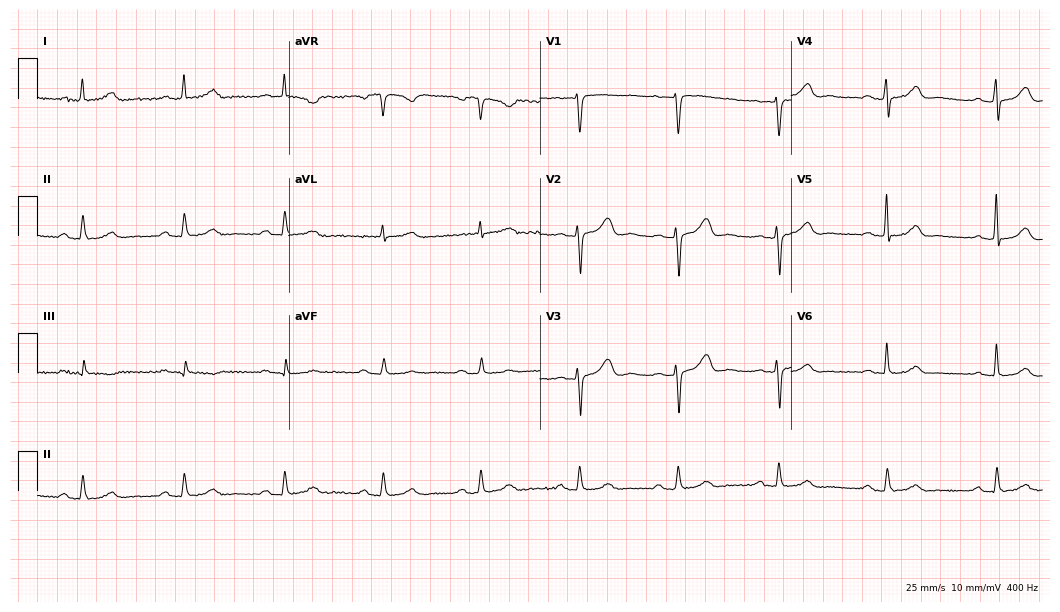
Standard 12-lead ECG recorded from a female patient, 60 years old. Read as a normal ECG.